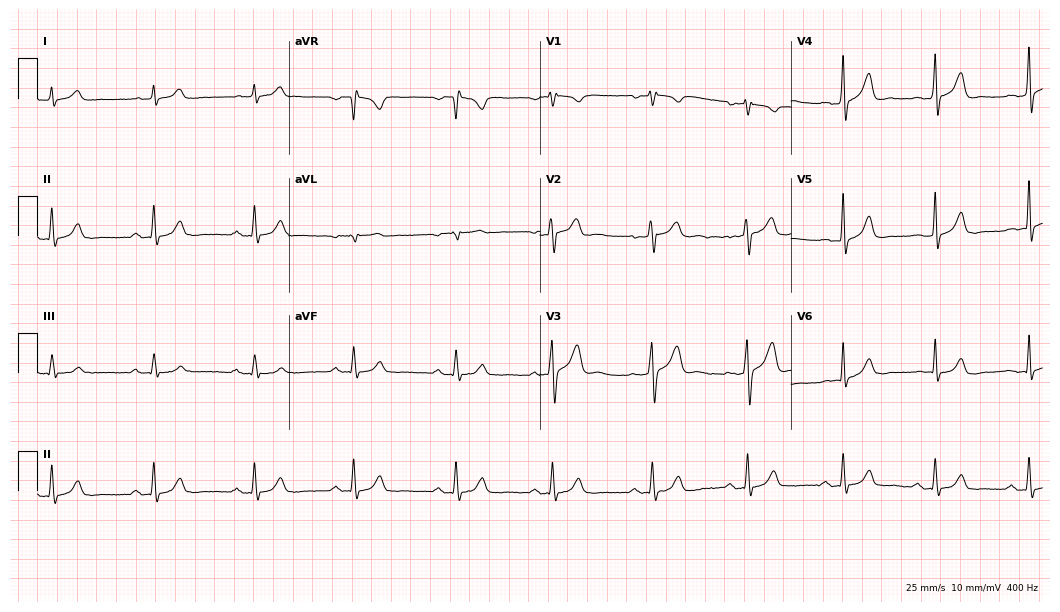
Standard 12-lead ECG recorded from a 33-year-old male patient (10.2-second recording at 400 Hz). Read as a normal ECG.